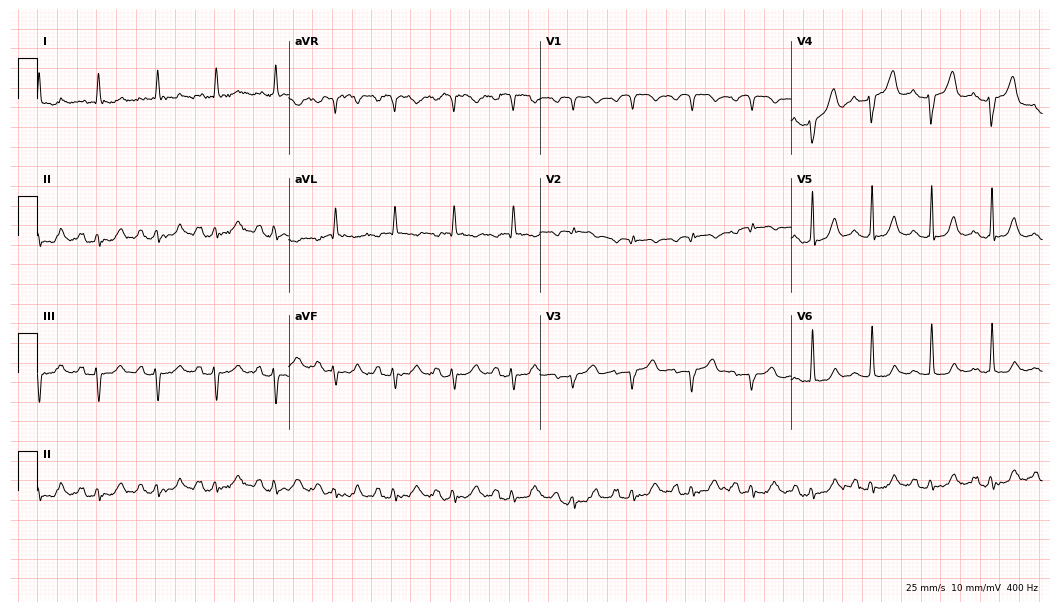
Resting 12-lead electrocardiogram. Patient: a 72-year-old female. None of these six findings is recorded: first-degree AV block, right bundle branch block, left bundle branch block, sinus bradycardia, atrial fibrillation, sinus tachycardia.